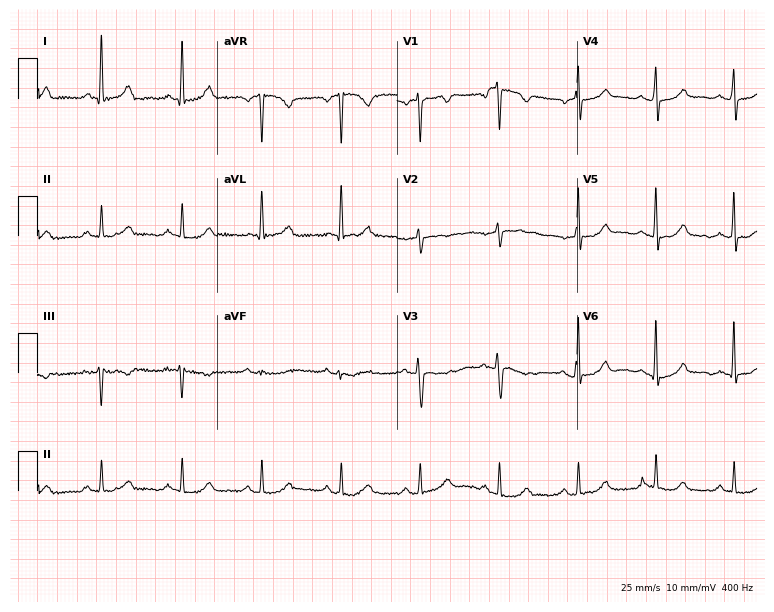
ECG — a woman, 53 years old. Screened for six findings — first-degree AV block, right bundle branch block, left bundle branch block, sinus bradycardia, atrial fibrillation, sinus tachycardia — none is recorded.